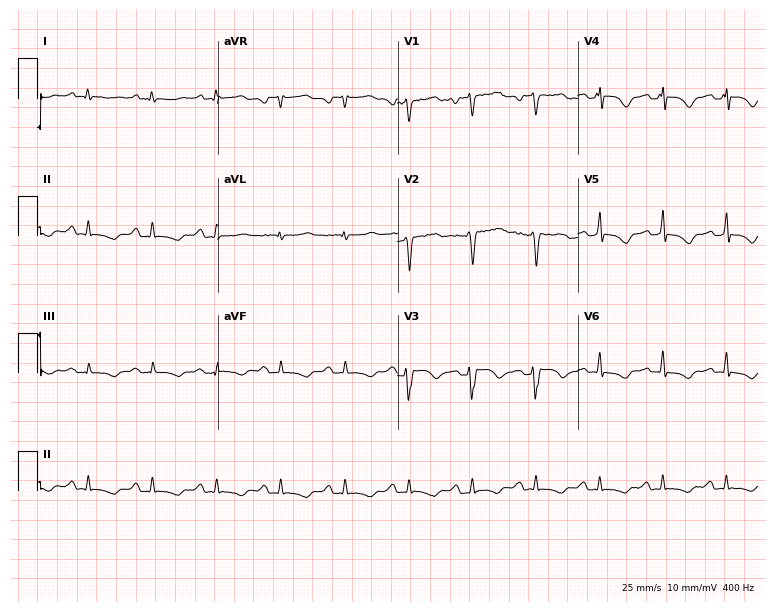
12-lead ECG (7.3-second recording at 400 Hz) from a woman, 43 years old. Screened for six findings — first-degree AV block, right bundle branch block, left bundle branch block, sinus bradycardia, atrial fibrillation, sinus tachycardia — none is recorded. Findings outside these six are not listed.